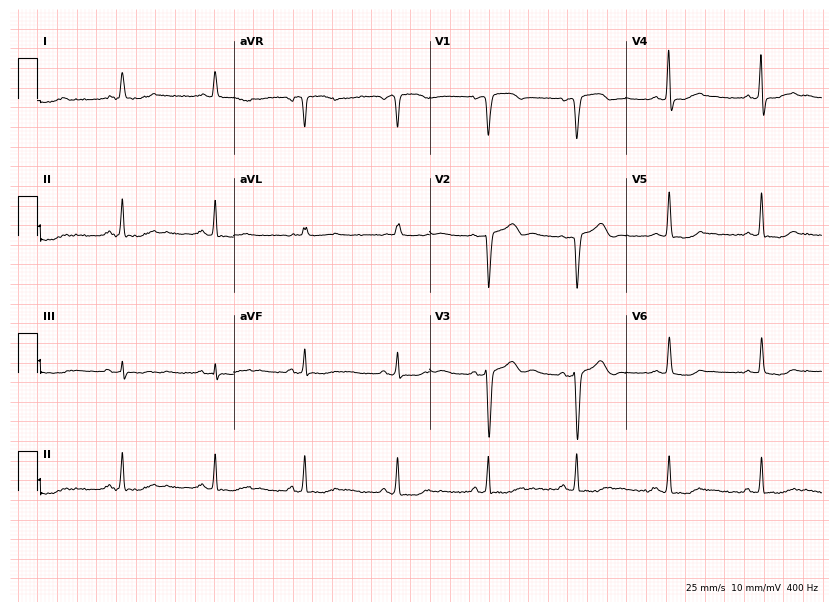
Resting 12-lead electrocardiogram. Patient: a female, 61 years old. Read as a normal ECG.